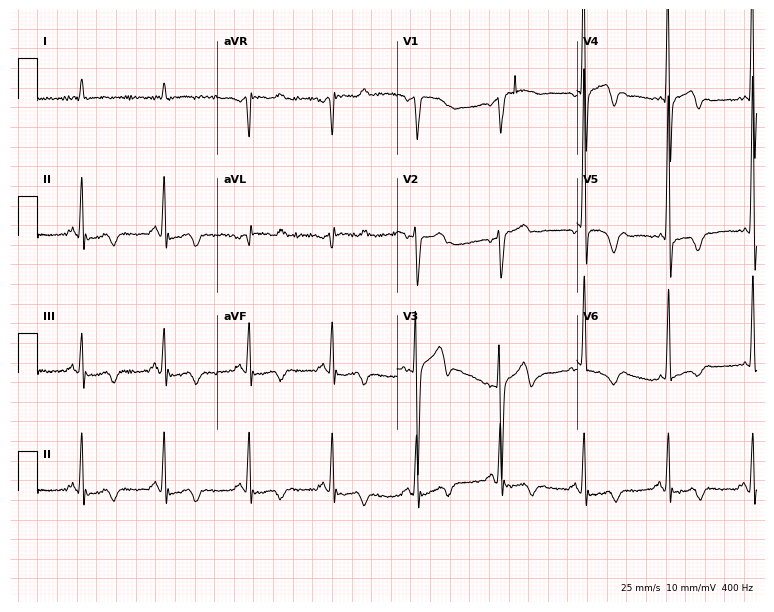
12-lead ECG from a female patient, 65 years old. Screened for six findings — first-degree AV block, right bundle branch block (RBBB), left bundle branch block (LBBB), sinus bradycardia, atrial fibrillation (AF), sinus tachycardia — none is recorded.